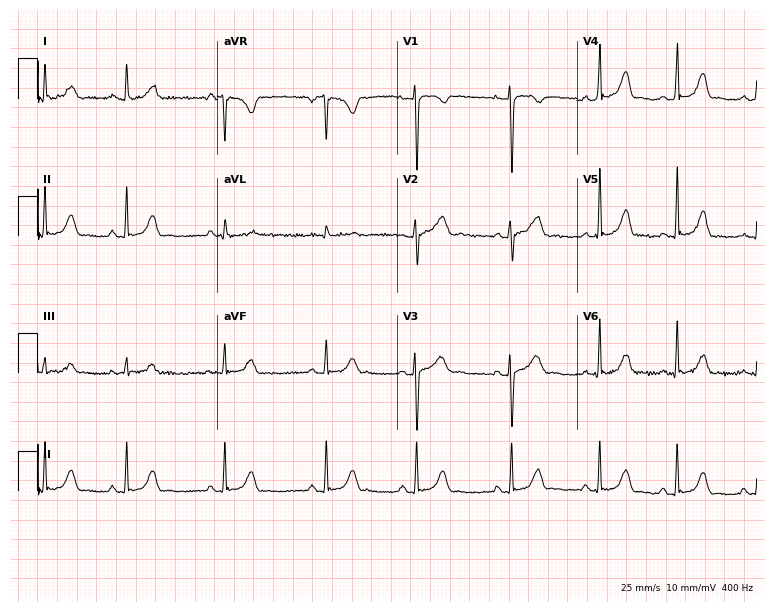
12-lead ECG from a 25-year-old female (7.3-second recording at 400 Hz). Recorded interpretation: within normal limits.